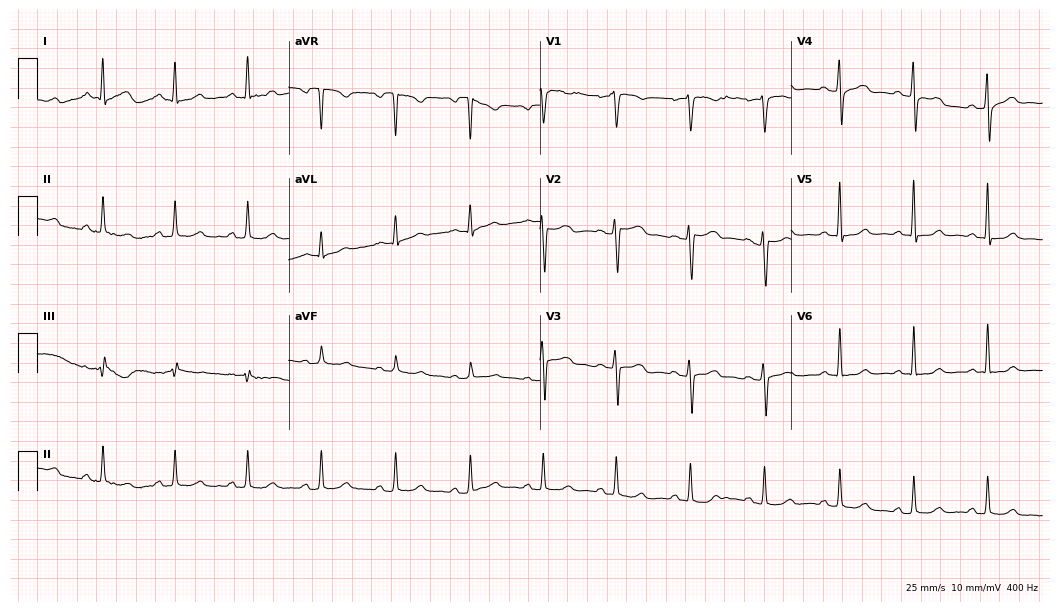
12-lead ECG from a 41-year-old female patient. Recorded interpretation: within normal limits.